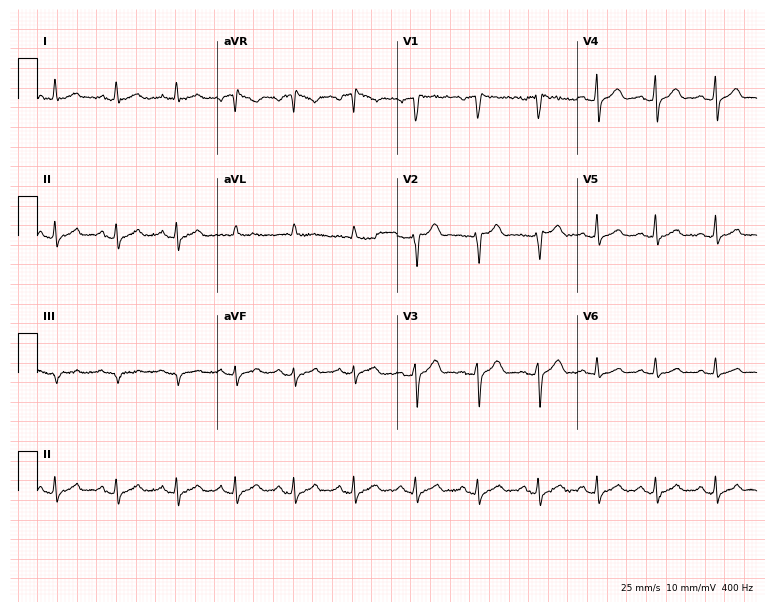
12-lead ECG from a 49-year-old male. Labelled as a normal ECG.